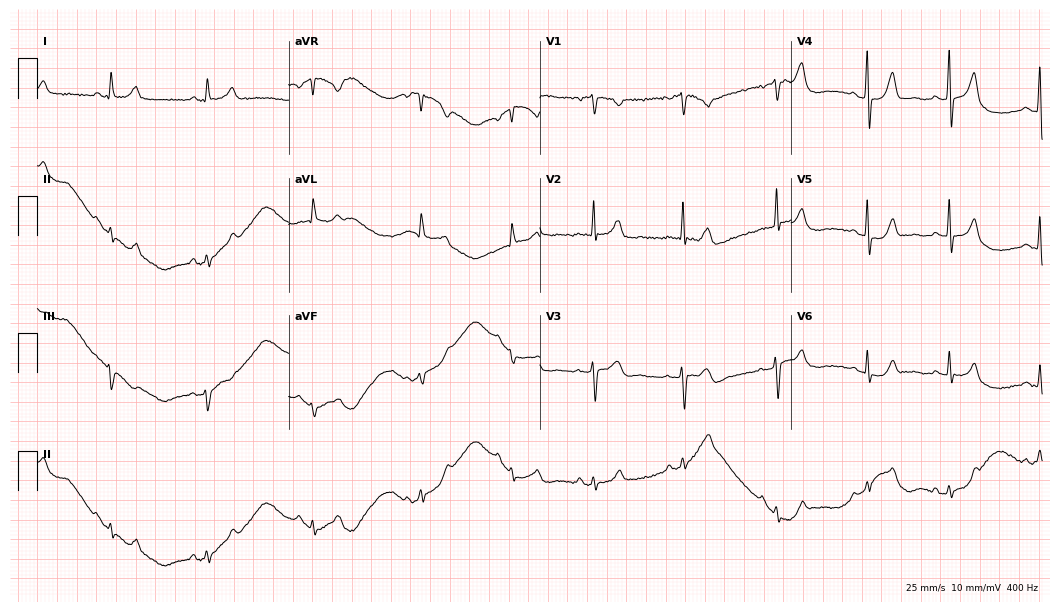
12-lead ECG from a 53-year-old woman. Labelled as a normal ECG.